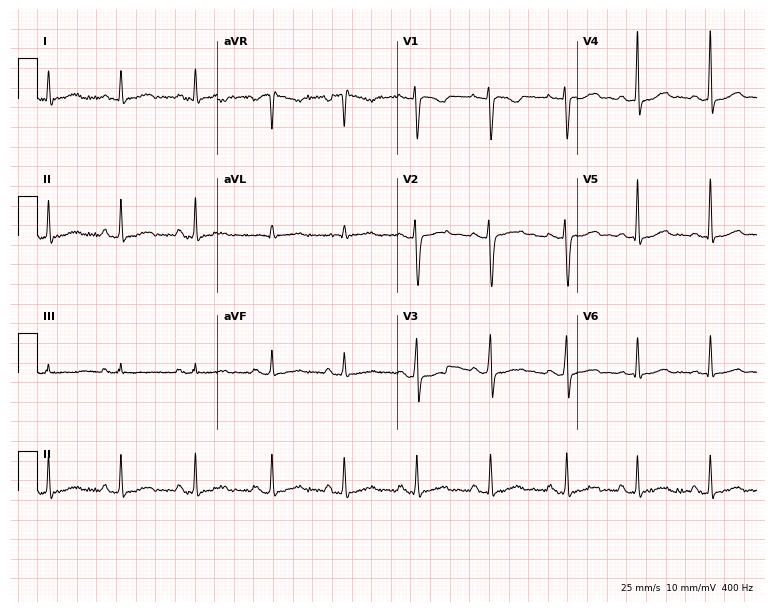
12-lead ECG (7.3-second recording at 400 Hz) from a 25-year-old female. Screened for six findings — first-degree AV block, right bundle branch block, left bundle branch block, sinus bradycardia, atrial fibrillation, sinus tachycardia — none is recorded. Only these six findings were labelled.